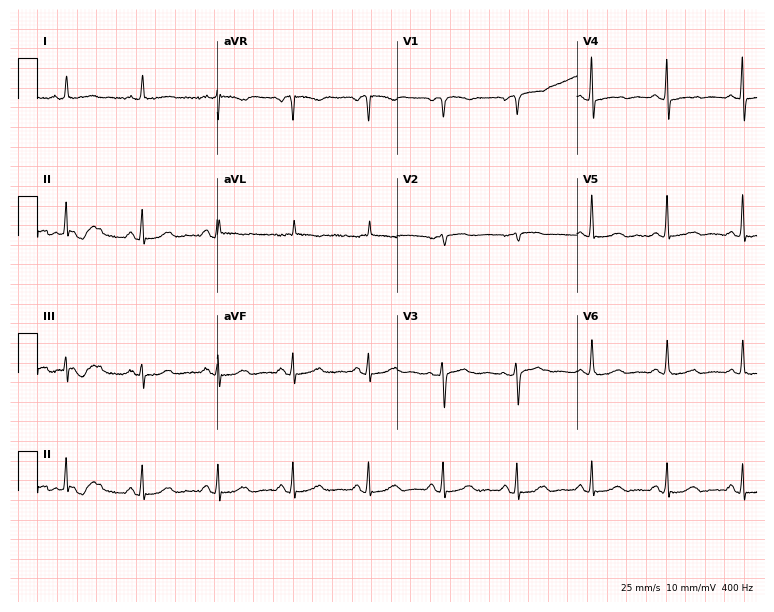
ECG — a 77-year-old female. Screened for six findings — first-degree AV block, right bundle branch block, left bundle branch block, sinus bradycardia, atrial fibrillation, sinus tachycardia — none is recorded. Other findings, if any, are not listed.